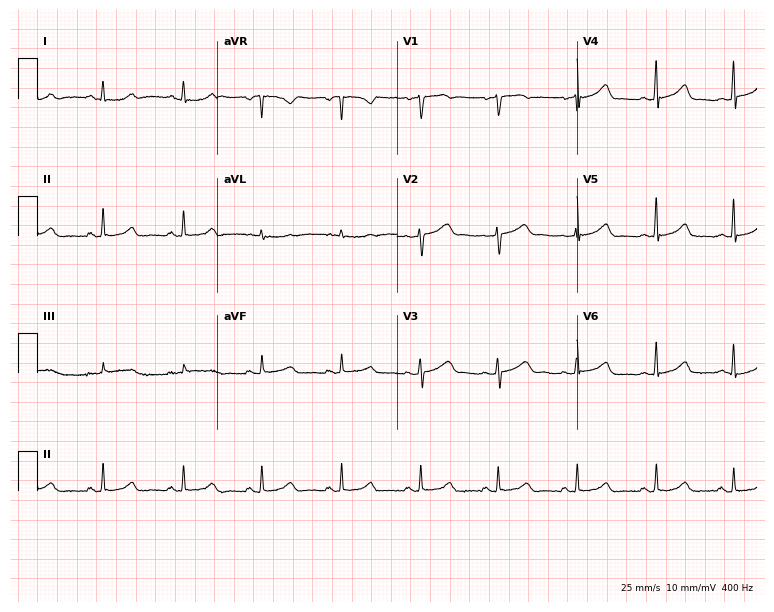
Resting 12-lead electrocardiogram. Patient: a 48-year-old female. Read as a normal ECG.